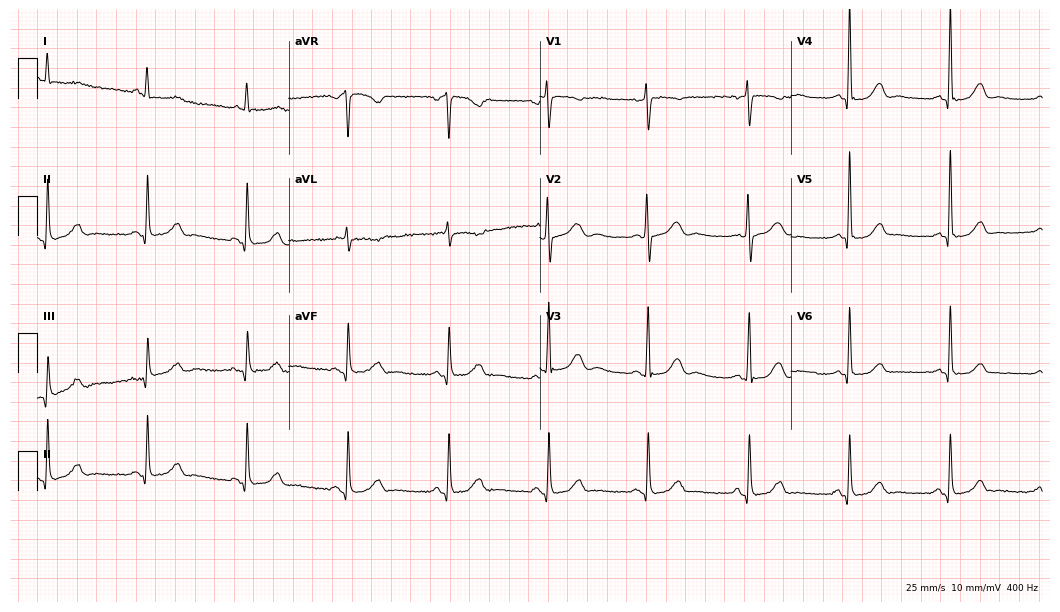
Resting 12-lead electrocardiogram (10.2-second recording at 400 Hz). Patient: a female, 73 years old. Read as a normal ECG.